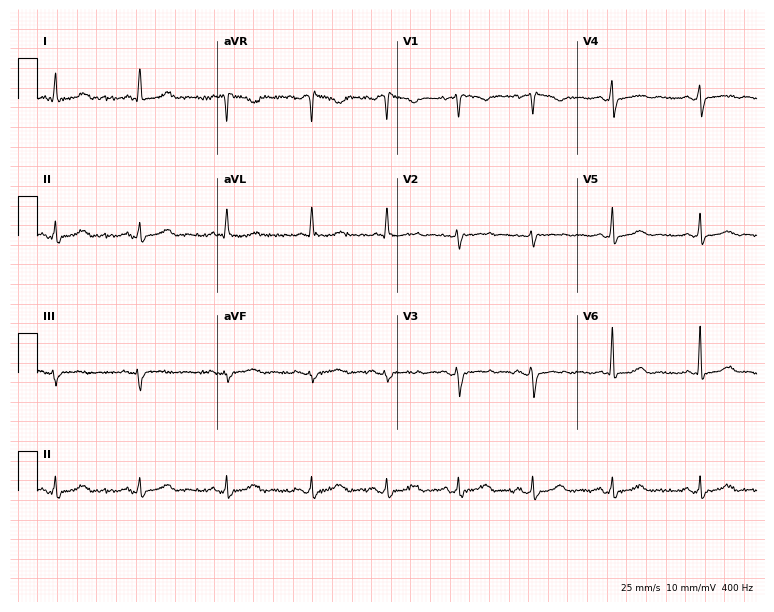
12-lead ECG from a 37-year-old female. Screened for six findings — first-degree AV block, right bundle branch block, left bundle branch block, sinus bradycardia, atrial fibrillation, sinus tachycardia — none is recorded. Only these six findings were labelled.